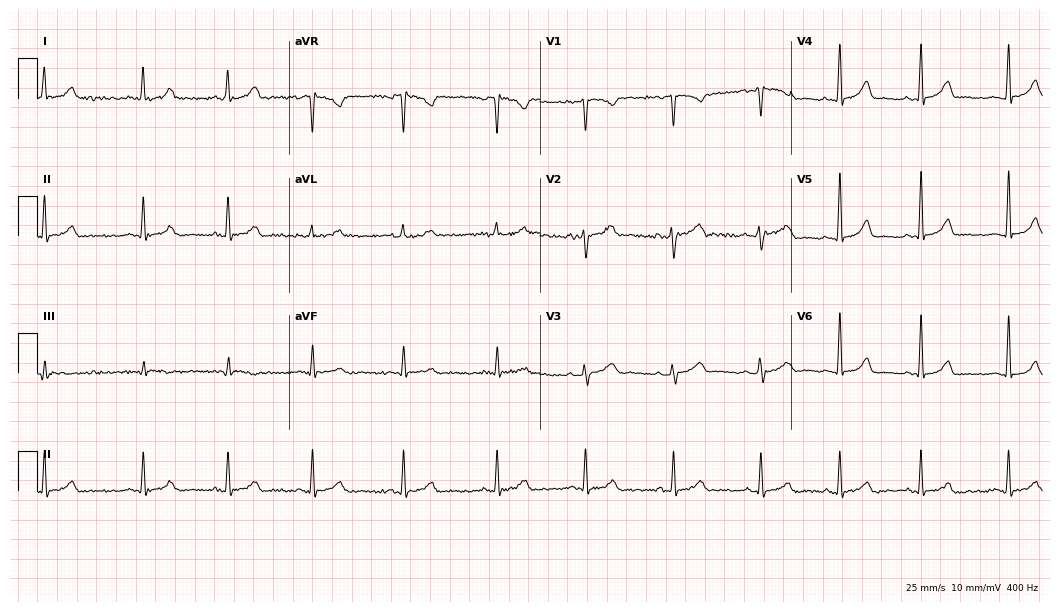
12-lead ECG (10.2-second recording at 400 Hz) from a 29-year-old male. Labelled as a normal ECG.